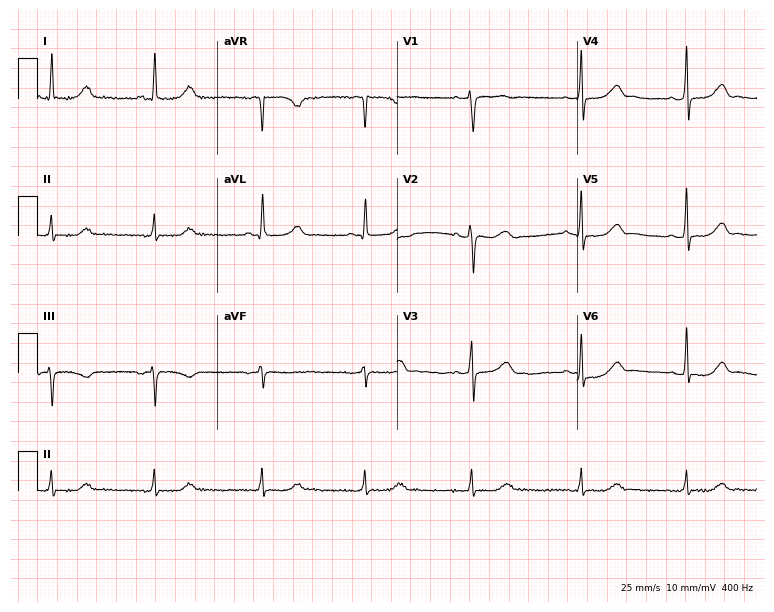
ECG (7.3-second recording at 400 Hz) — a 38-year-old female. Labelled as a normal ECG.